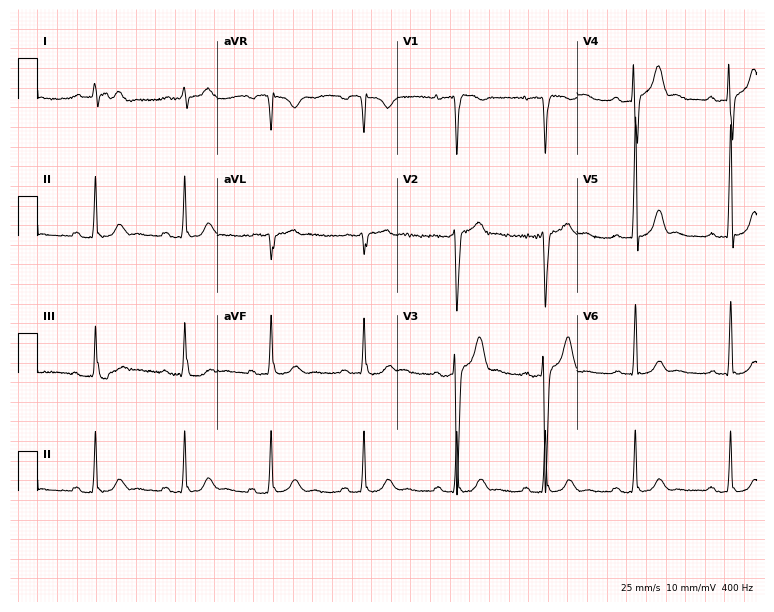
12-lead ECG from a man, 33 years old (7.3-second recording at 400 Hz). Recorded interpretation: within normal limits.